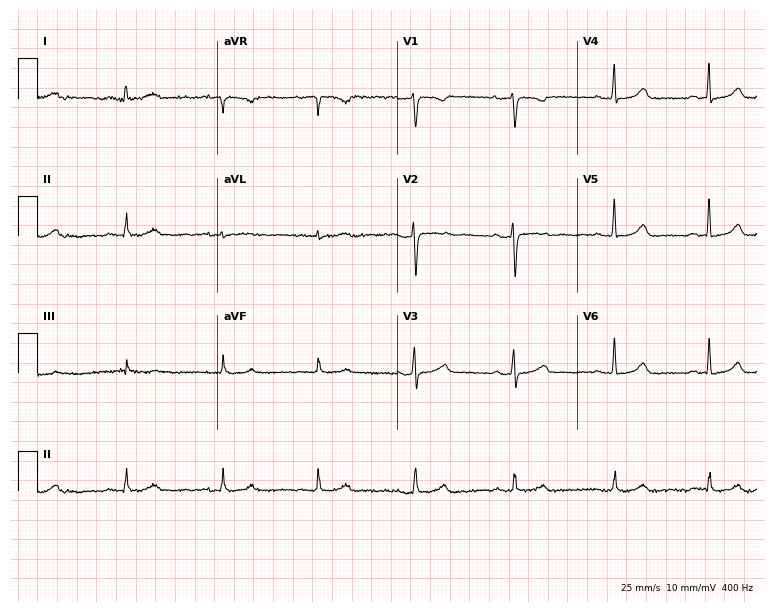
Standard 12-lead ECG recorded from a female patient, 53 years old. None of these six findings is recorded: first-degree AV block, right bundle branch block (RBBB), left bundle branch block (LBBB), sinus bradycardia, atrial fibrillation (AF), sinus tachycardia.